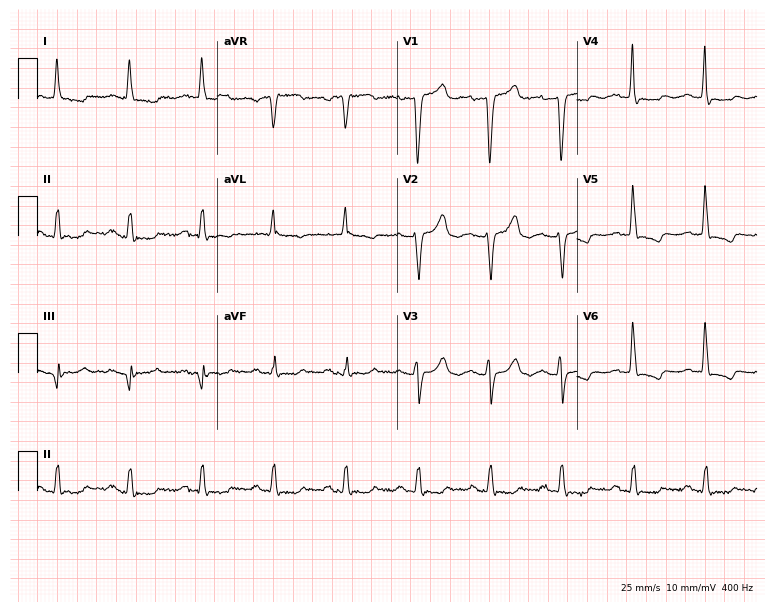
Standard 12-lead ECG recorded from a 74-year-old woman. None of these six findings is recorded: first-degree AV block, right bundle branch block (RBBB), left bundle branch block (LBBB), sinus bradycardia, atrial fibrillation (AF), sinus tachycardia.